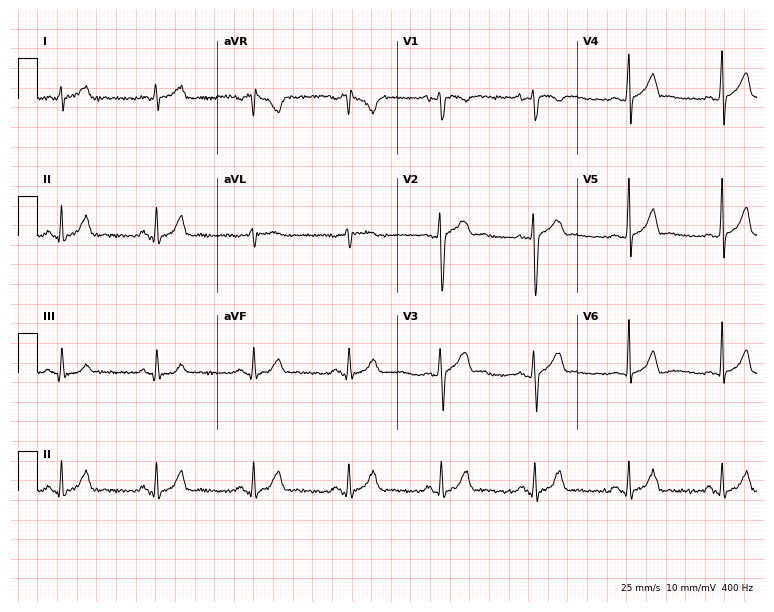
12-lead ECG from a 34-year-old male patient. Labelled as a normal ECG.